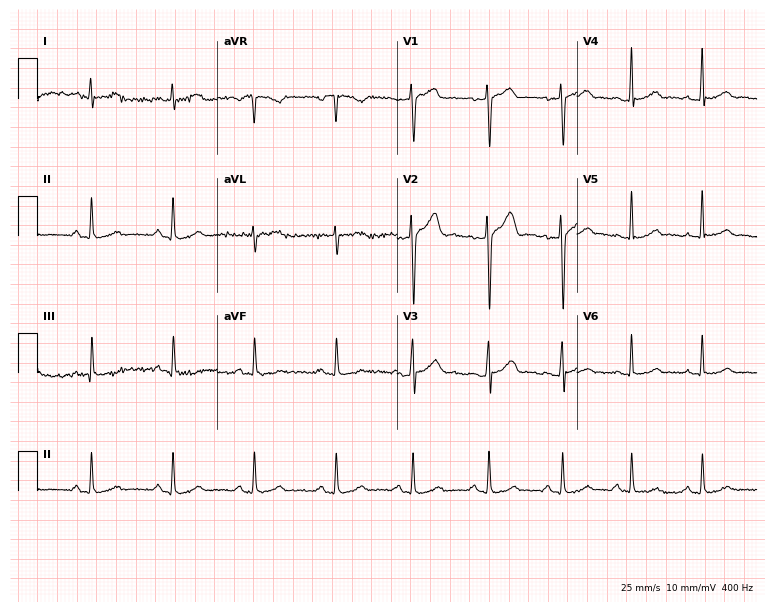
Electrocardiogram, a 27-year-old man. Overall reading on record: normal ECG.